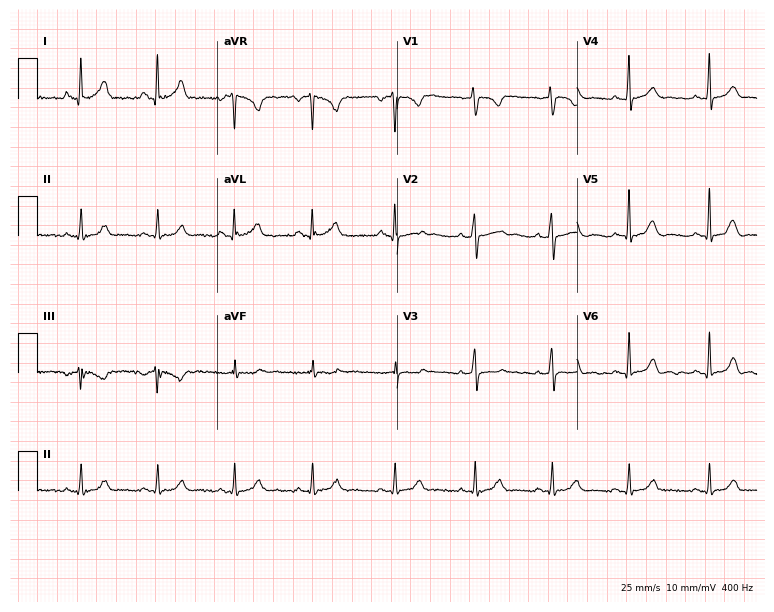
Electrocardiogram, a female, 25 years old. Overall reading on record: normal ECG.